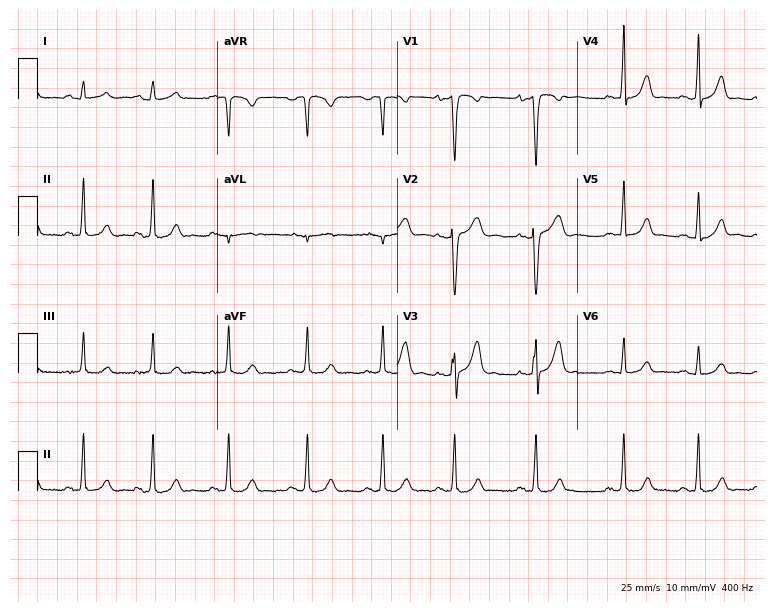
Standard 12-lead ECG recorded from a 24-year-old female (7.3-second recording at 400 Hz). Read as a normal ECG.